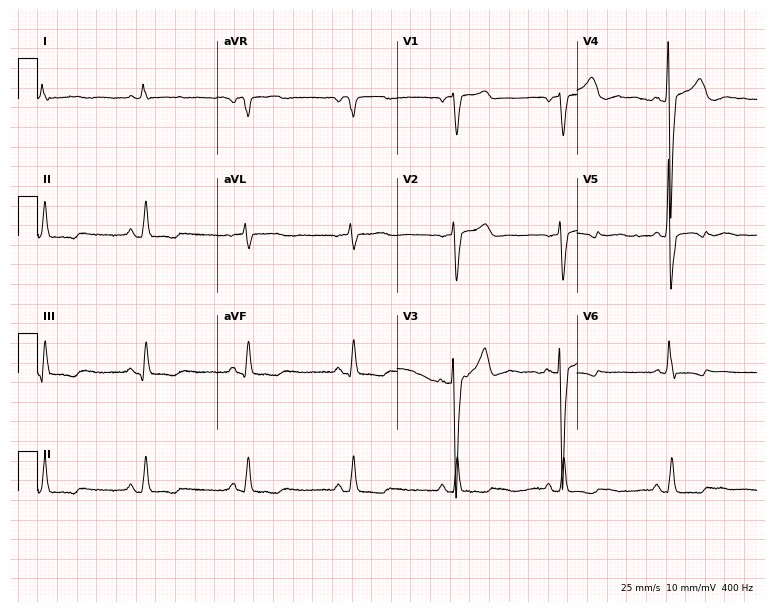
ECG — a 65-year-old male. Screened for six findings — first-degree AV block, right bundle branch block, left bundle branch block, sinus bradycardia, atrial fibrillation, sinus tachycardia — none is recorded.